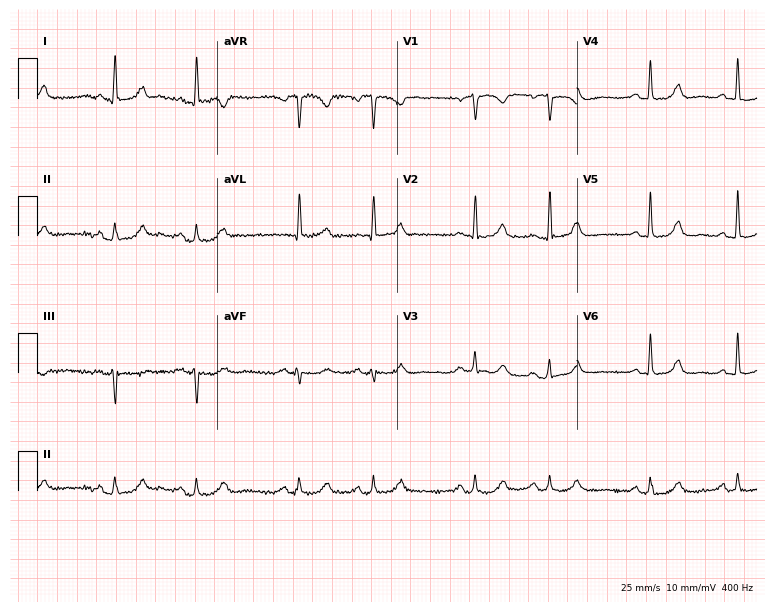
Electrocardiogram, an 83-year-old female. Of the six screened findings (first-degree AV block, right bundle branch block (RBBB), left bundle branch block (LBBB), sinus bradycardia, atrial fibrillation (AF), sinus tachycardia), none is recorded. Other findings, if any, are not listed.